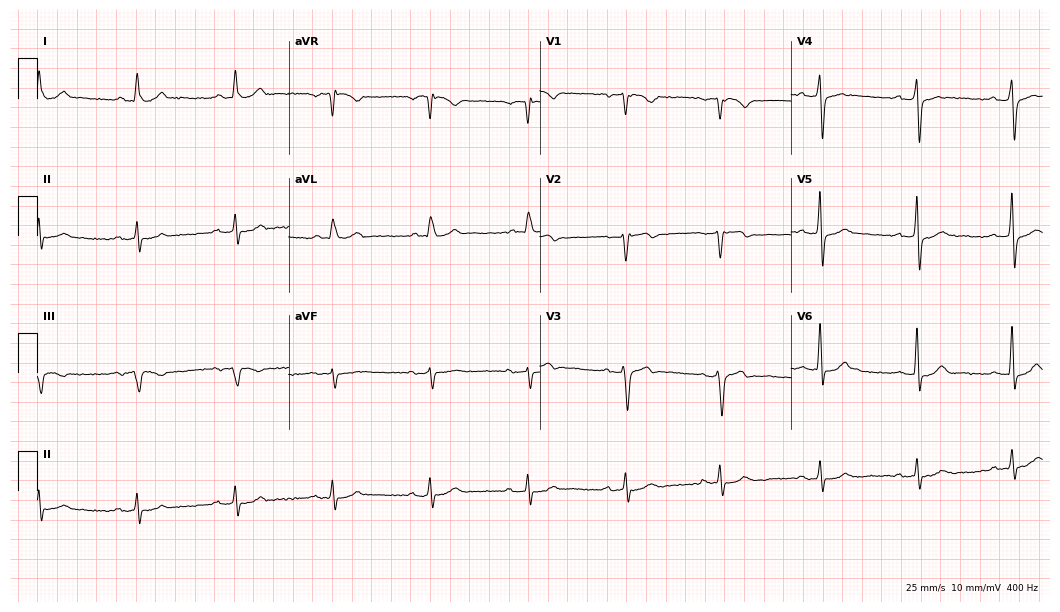
Resting 12-lead electrocardiogram. Patient: a 74-year-old male. None of these six findings is recorded: first-degree AV block, right bundle branch block, left bundle branch block, sinus bradycardia, atrial fibrillation, sinus tachycardia. Findings outside these six are not listed.